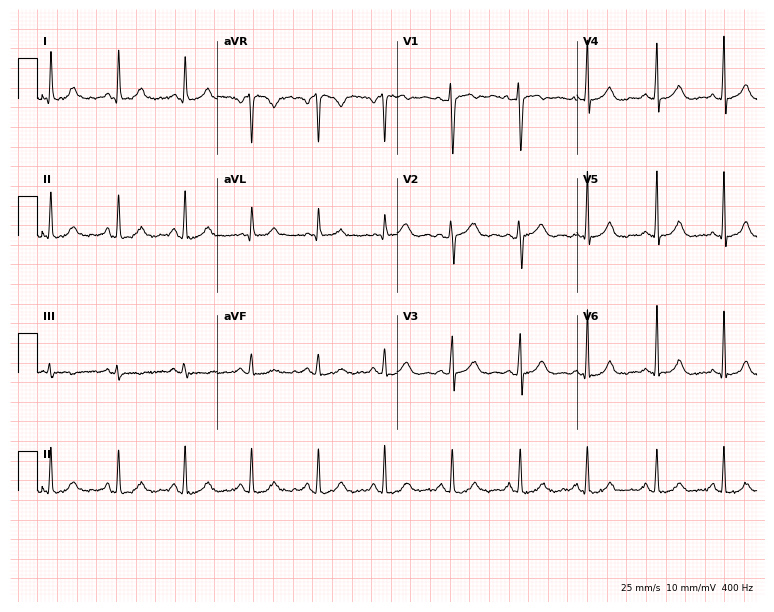
ECG — a 36-year-old female patient. Labelled as a normal ECG.